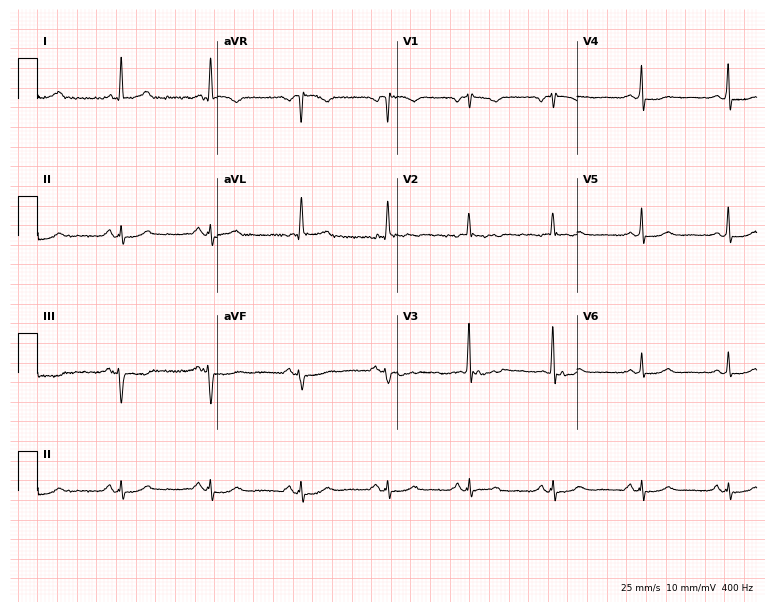
Resting 12-lead electrocardiogram. Patient: a 69-year-old female. None of these six findings is recorded: first-degree AV block, right bundle branch block, left bundle branch block, sinus bradycardia, atrial fibrillation, sinus tachycardia.